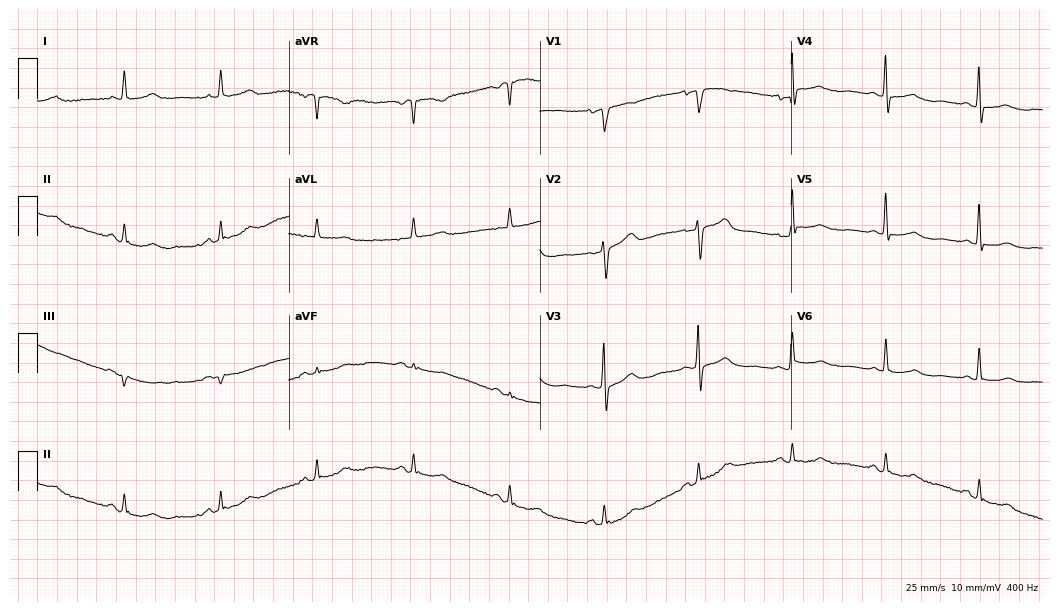
12-lead ECG from an 82-year-old female patient (10.2-second recording at 400 Hz). No first-degree AV block, right bundle branch block, left bundle branch block, sinus bradycardia, atrial fibrillation or sinus tachycardia recorded for this tracing. Other findings, if any, are not listed.